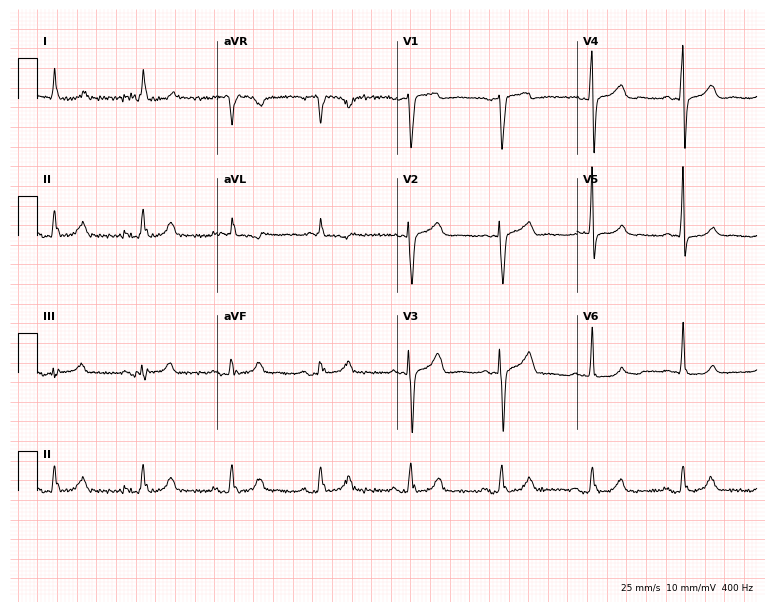
Standard 12-lead ECG recorded from a male patient, 77 years old. Read as a normal ECG.